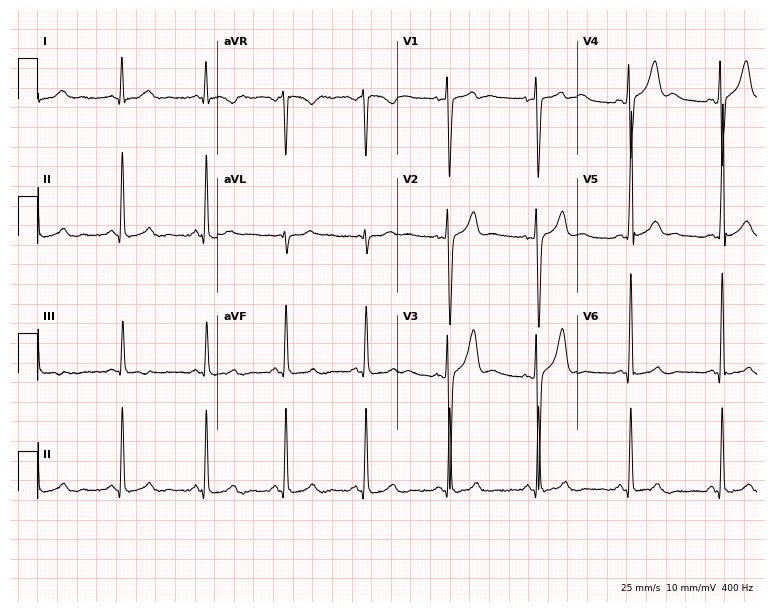
Standard 12-lead ECG recorded from a male, 40 years old. None of these six findings is recorded: first-degree AV block, right bundle branch block, left bundle branch block, sinus bradycardia, atrial fibrillation, sinus tachycardia.